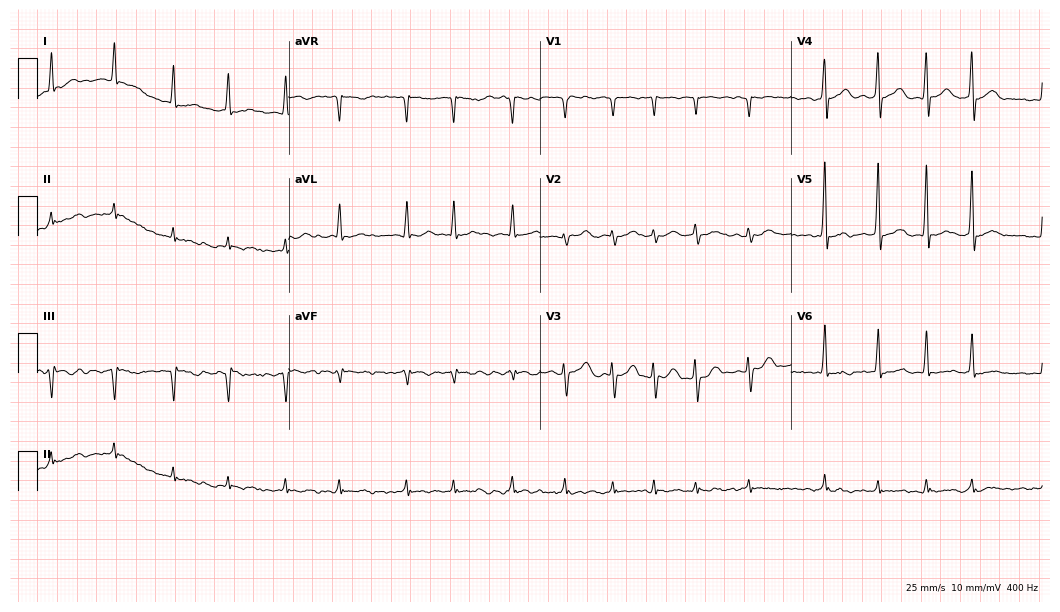
Electrocardiogram, a 59-year-old male patient. Interpretation includes atrial fibrillation.